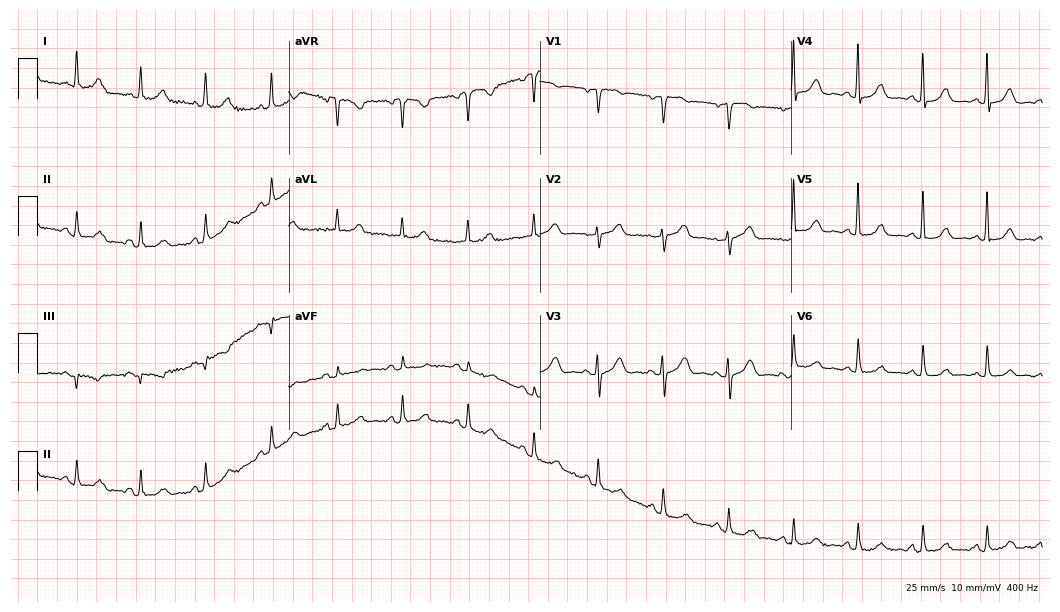
12-lead ECG from a 74-year-old woman. No first-degree AV block, right bundle branch block (RBBB), left bundle branch block (LBBB), sinus bradycardia, atrial fibrillation (AF) or sinus tachycardia recorded for this tracing.